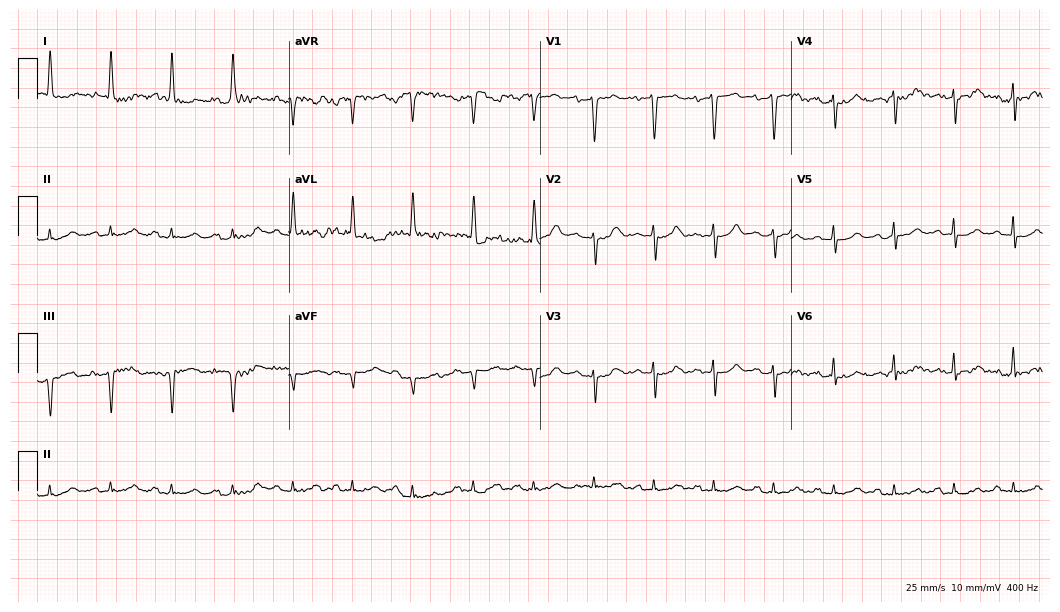
Resting 12-lead electrocardiogram. Patient: an 85-year-old female. None of these six findings is recorded: first-degree AV block, right bundle branch block, left bundle branch block, sinus bradycardia, atrial fibrillation, sinus tachycardia. Findings outside these six are not listed.